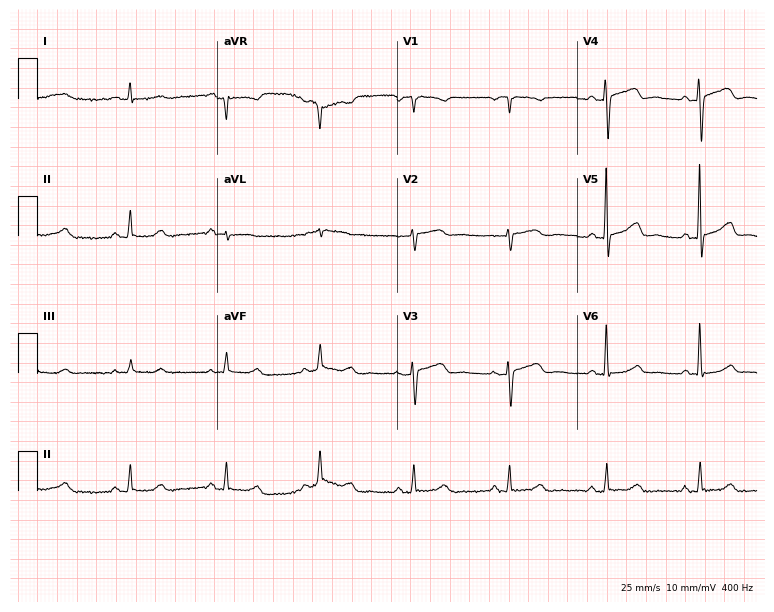
12-lead ECG from a 73-year-old female (7.3-second recording at 400 Hz). No first-degree AV block, right bundle branch block (RBBB), left bundle branch block (LBBB), sinus bradycardia, atrial fibrillation (AF) or sinus tachycardia recorded for this tracing. Findings outside these six are not listed.